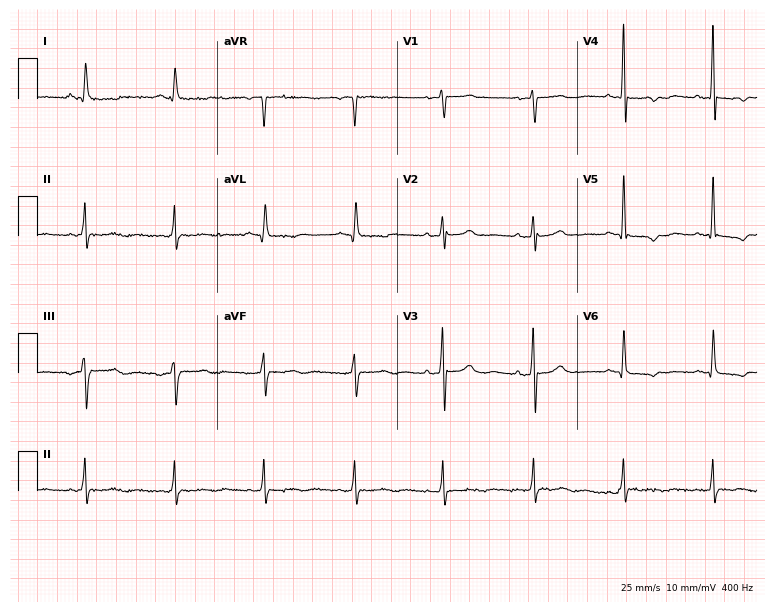
Standard 12-lead ECG recorded from a woman, 69 years old. None of these six findings is recorded: first-degree AV block, right bundle branch block, left bundle branch block, sinus bradycardia, atrial fibrillation, sinus tachycardia. Other findings, if any, are not listed.